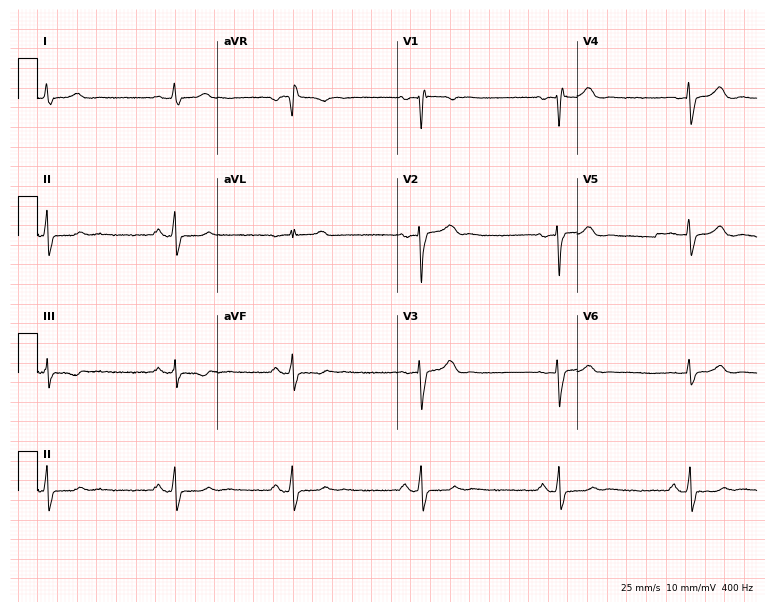
Resting 12-lead electrocardiogram (7.3-second recording at 400 Hz). Patient: a female, 31 years old. The tracing shows sinus bradycardia (a sinus rate of 50 beats per minute or less).